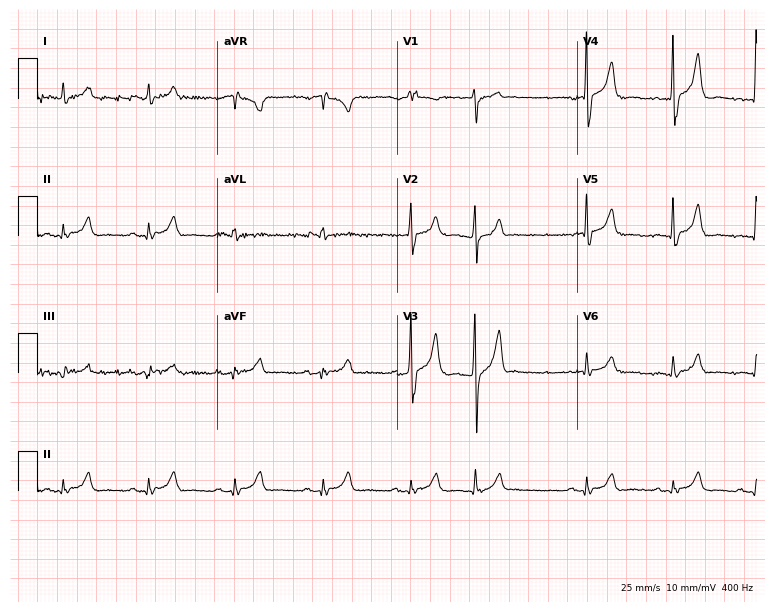
Electrocardiogram (7.3-second recording at 400 Hz), a female patient, 84 years old. Overall reading on record: normal ECG.